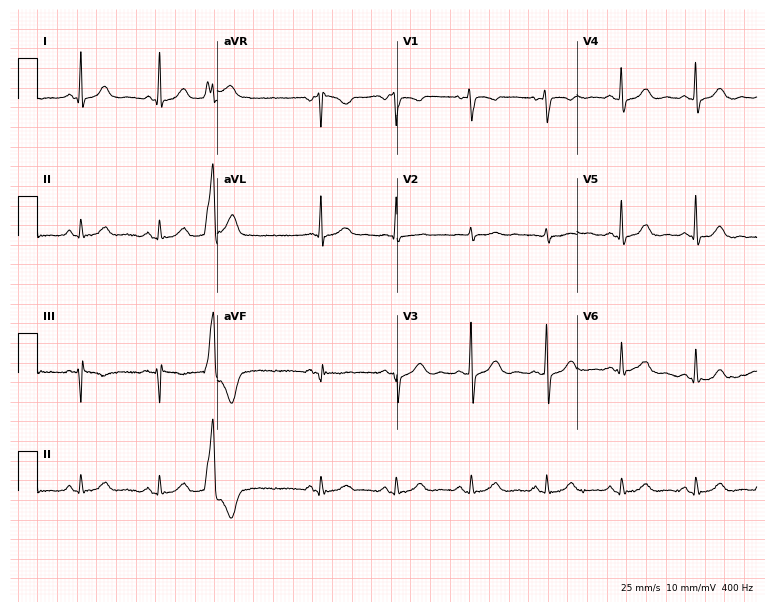
12-lead ECG from a 56-year-old woman. Screened for six findings — first-degree AV block, right bundle branch block, left bundle branch block, sinus bradycardia, atrial fibrillation, sinus tachycardia — none is recorded.